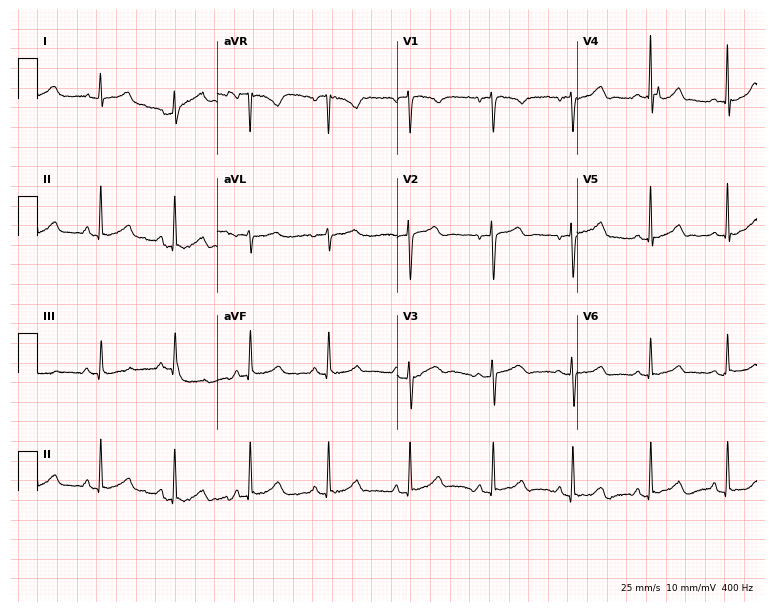
12-lead ECG from a 32-year-old female patient. Labelled as a normal ECG.